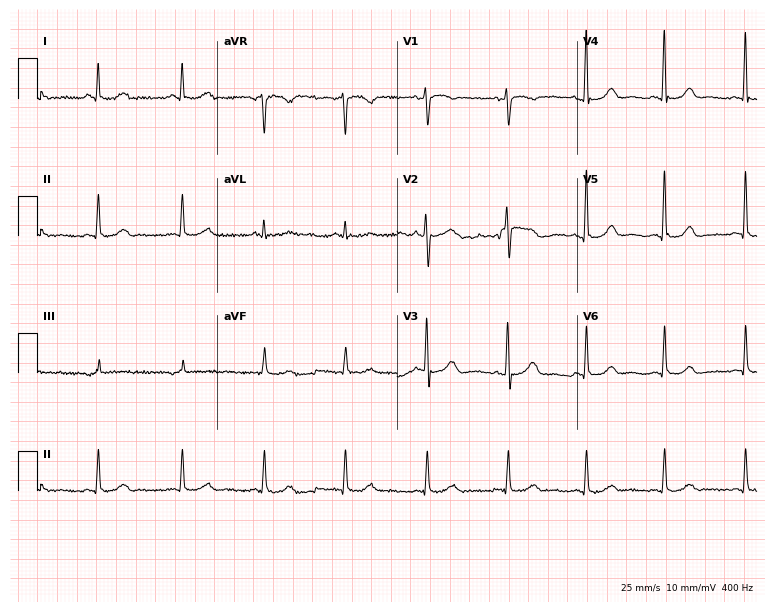
ECG (7.3-second recording at 400 Hz) — a 58-year-old woman. Screened for six findings — first-degree AV block, right bundle branch block (RBBB), left bundle branch block (LBBB), sinus bradycardia, atrial fibrillation (AF), sinus tachycardia — none is recorded. Only these six findings were labelled.